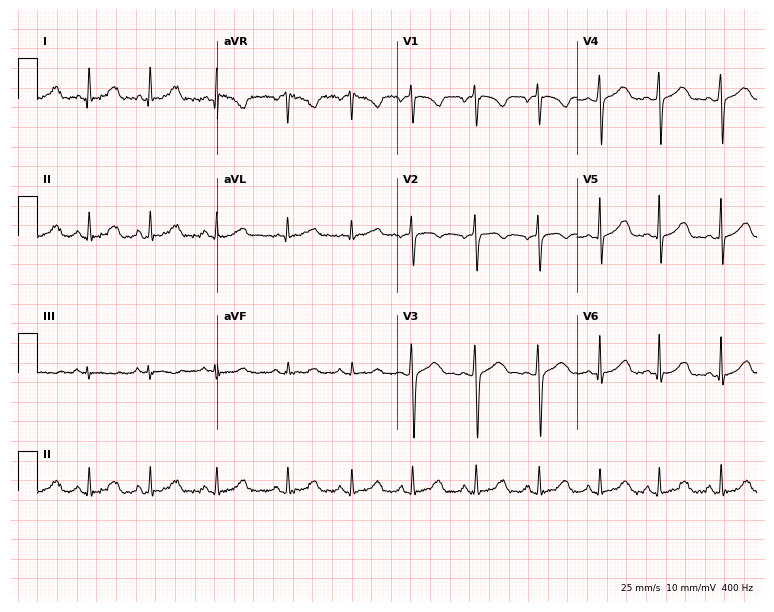
Standard 12-lead ECG recorded from a 22-year-old female (7.3-second recording at 400 Hz). Read as a normal ECG.